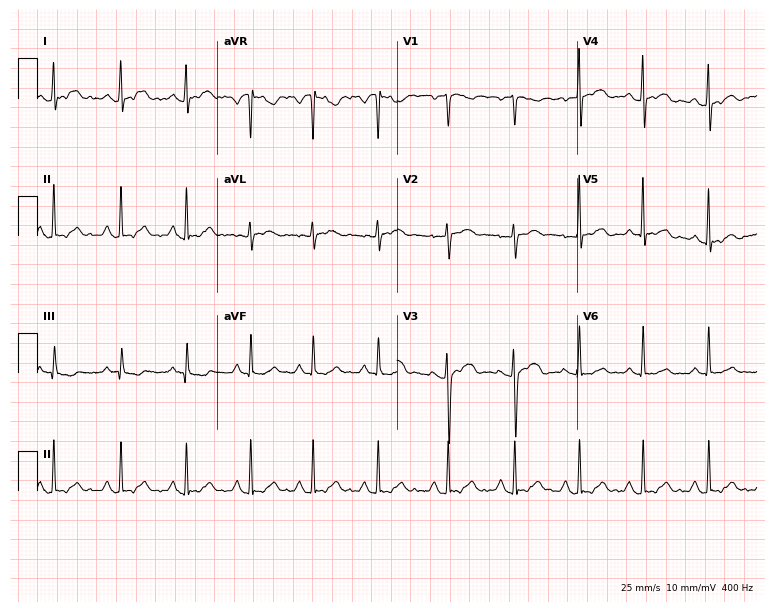
Resting 12-lead electrocardiogram (7.3-second recording at 400 Hz). Patient: a woman, 45 years old. Read as a normal ECG.